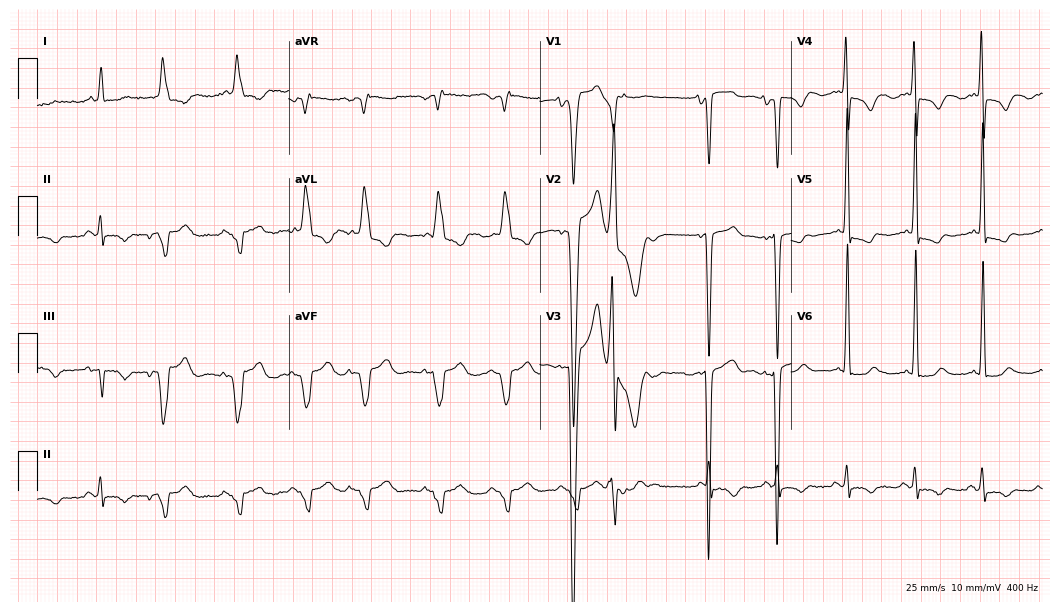
ECG — a 77-year-old female patient. Screened for six findings — first-degree AV block, right bundle branch block, left bundle branch block, sinus bradycardia, atrial fibrillation, sinus tachycardia — none is recorded. Only these six findings were labelled.